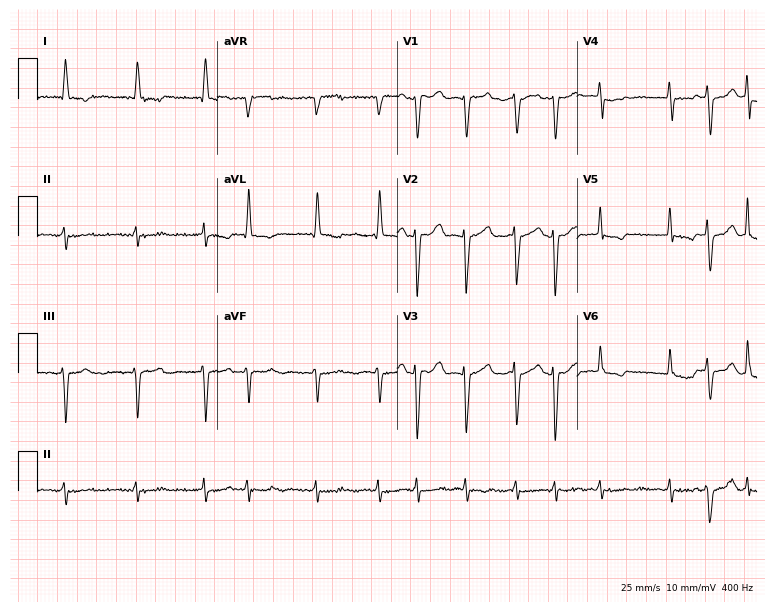
ECG — a female, 77 years old. Findings include atrial fibrillation (AF).